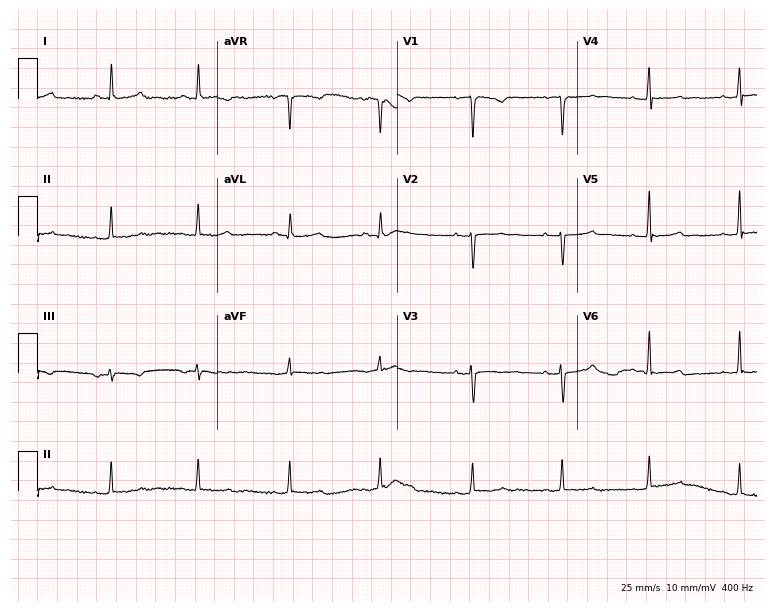
ECG — a woman, 37 years old. Labelled as a normal ECG.